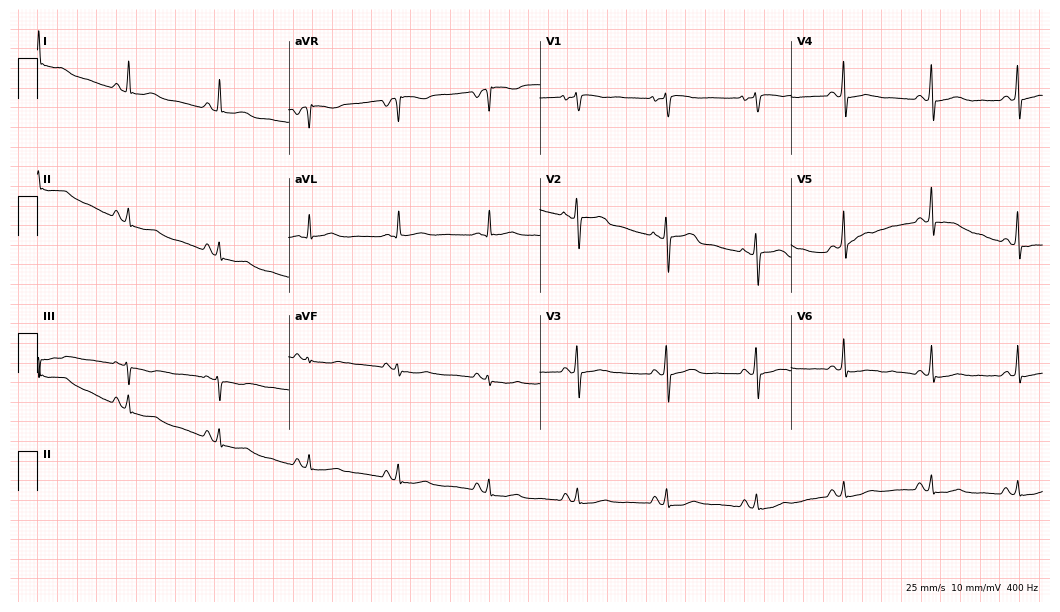
Resting 12-lead electrocardiogram. Patient: a 48-year-old woman. None of these six findings is recorded: first-degree AV block, right bundle branch block, left bundle branch block, sinus bradycardia, atrial fibrillation, sinus tachycardia.